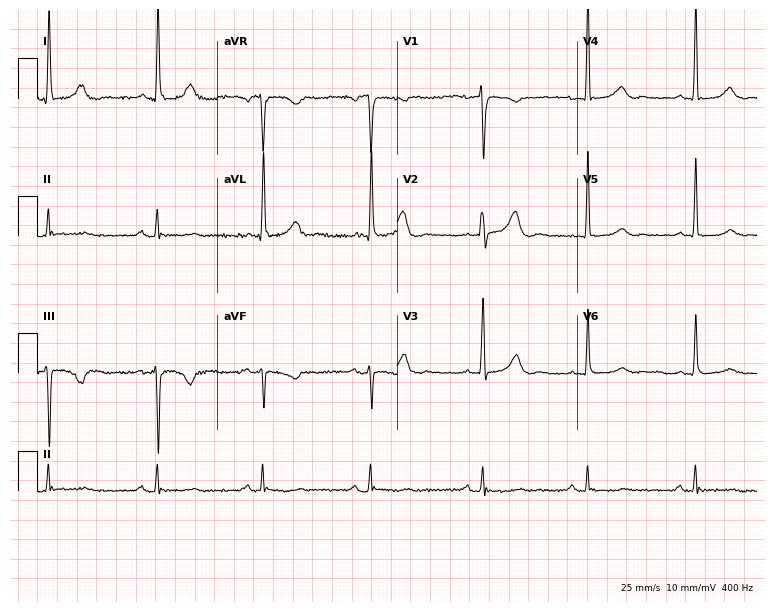
12-lead ECG (7.3-second recording at 400 Hz) from a 60-year-old female patient. Screened for six findings — first-degree AV block, right bundle branch block, left bundle branch block, sinus bradycardia, atrial fibrillation, sinus tachycardia — none is recorded.